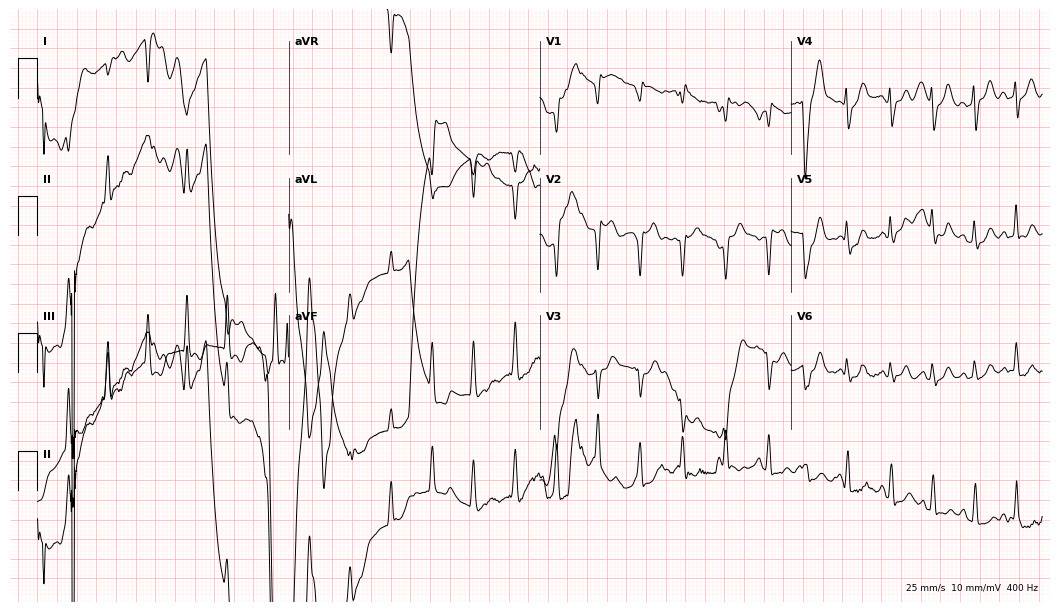
Resting 12-lead electrocardiogram (10.2-second recording at 400 Hz). Patient: a female, 70 years old. None of these six findings is recorded: first-degree AV block, right bundle branch block, left bundle branch block, sinus bradycardia, atrial fibrillation, sinus tachycardia.